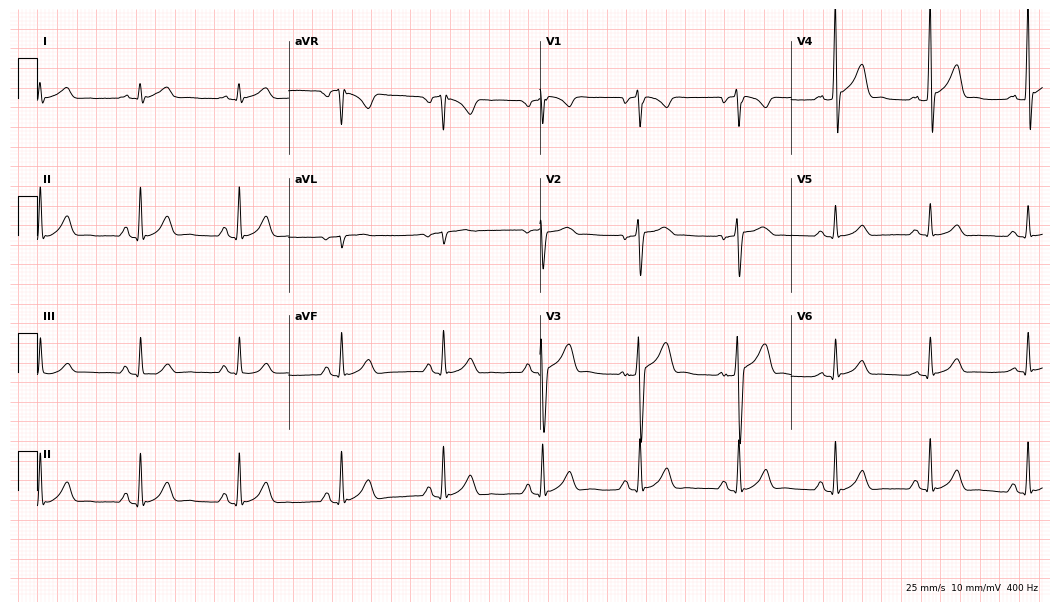
Resting 12-lead electrocardiogram (10.2-second recording at 400 Hz). Patient: a man, 36 years old. None of these six findings is recorded: first-degree AV block, right bundle branch block (RBBB), left bundle branch block (LBBB), sinus bradycardia, atrial fibrillation (AF), sinus tachycardia.